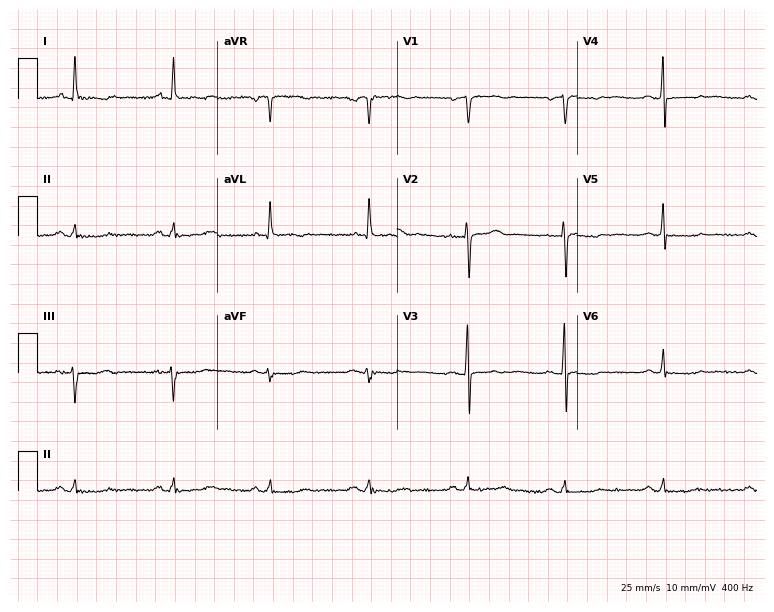
ECG (7.3-second recording at 400 Hz) — a 63-year-old female patient. Screened for six findings — first-degree AV block, right bundle branch block (RBBB), left bundle branch block (LBBB), sinus bradycardia, atrial fibrillation (AF), sinus tachycardia — none is recorded. Other findings, if any, are not listed.